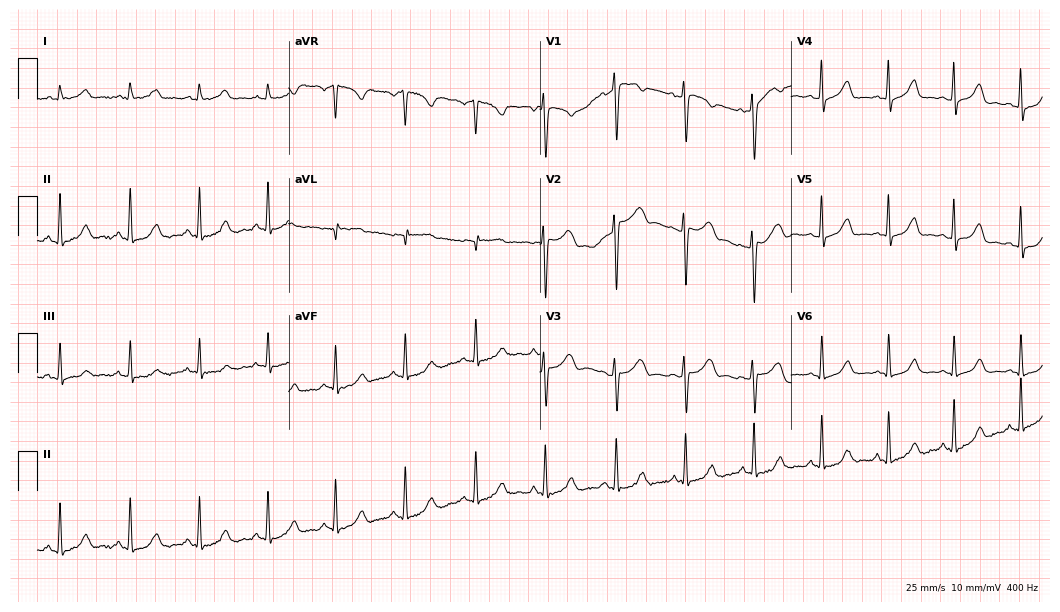
12-lead ECG from a 28-year-old female (10.2-second recording at 400 Hz). Recorded interpretation: within normal limits.